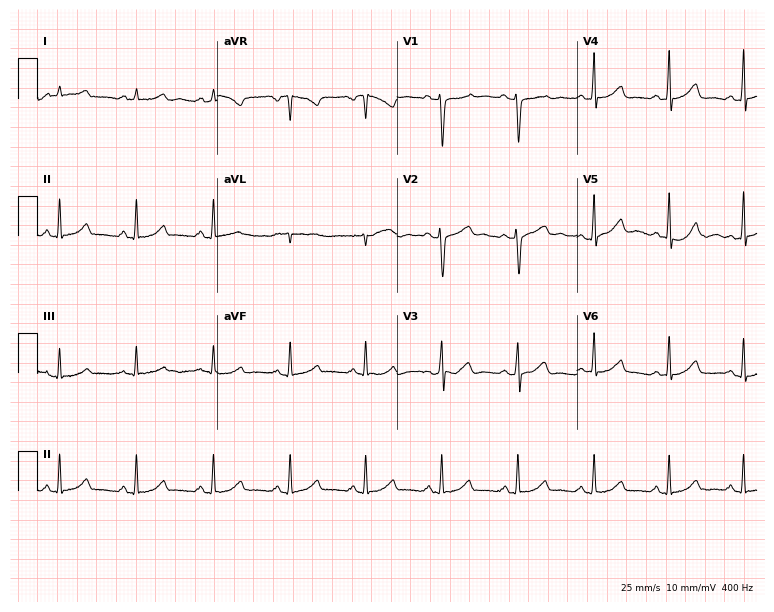
Standard 12-lead ECG recorded from a woman, 32 years old. Read as a normal ECG.